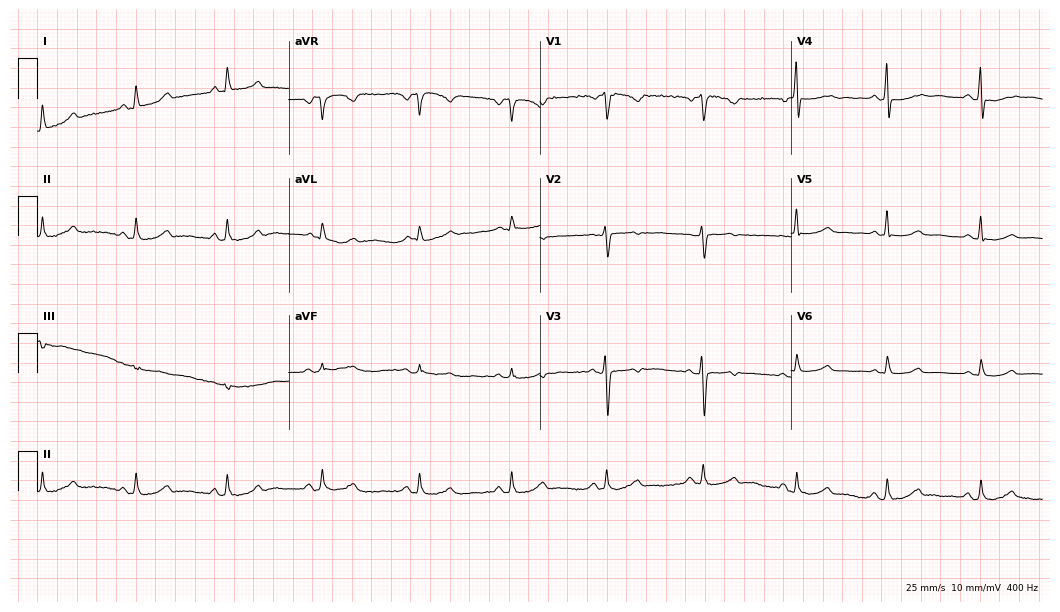
12-lead ECG from a female, 50 years old. No first-degree AV block, right bundle branch block, left bundle branch block, sinus bradycardia, atrial fibrillation or sinus tachycardia recorded for this tracing.